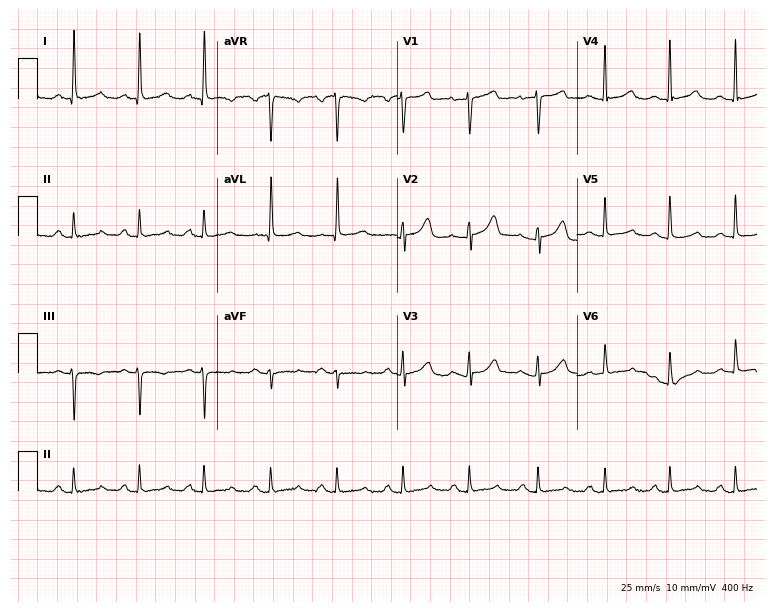
12-lead ECG (7.3-second recording at 400 Hz) from a female patient, 58 years old. Screened for six findings — first-degree AV block, right bundle branch block (RBBB), left bundle branch block (LBBB), sinus bradycardia, atrial fibrillation (AF), sinus tachycardia — none is recorded.